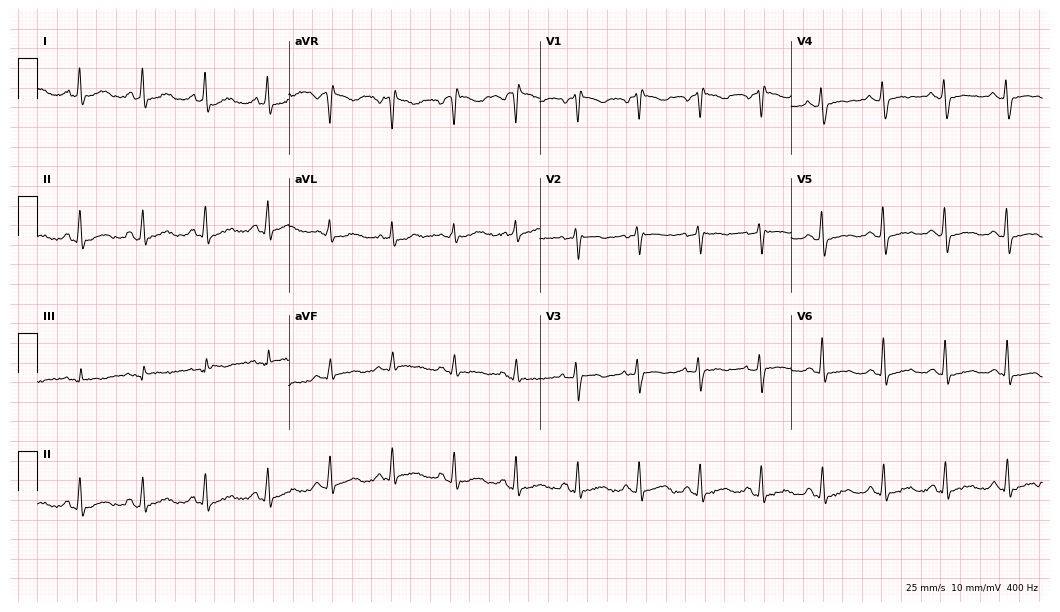
Standard 12-lead ECG recorded from a female, 50 years old (10.2-second recording at 400 Hz). None of these six findings is recorded: first-degree AV block, right bundle branch block, left bundle branch block, sinus bradycardia, atrial fibrillation, sinus tachycardia.